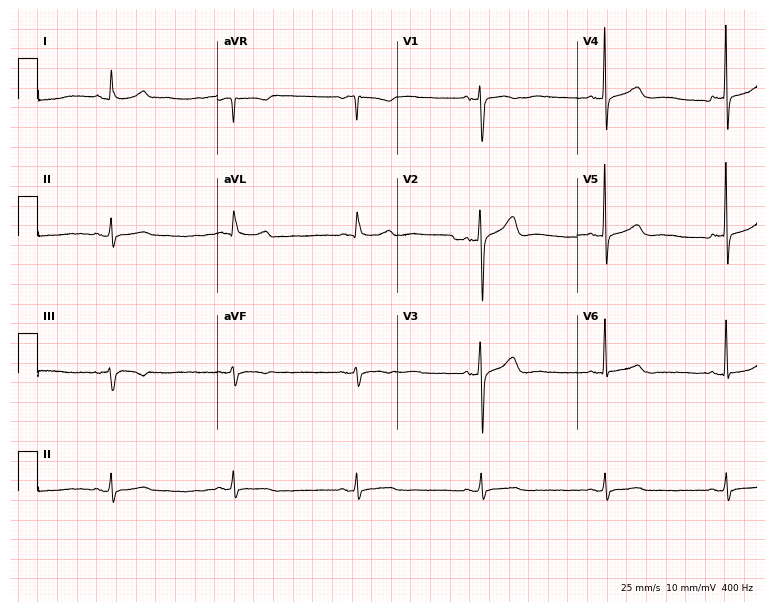
12-lead ECG from a female patient, 69 years old (7.3-second recording at 400 Hz). No first-degree AV block, right bundle branch block, left bundle branch block, sinus bradycardia, atrial fibrillation or sinus tachycardia recorded for this tracing. Other findings, if any, are not listed.